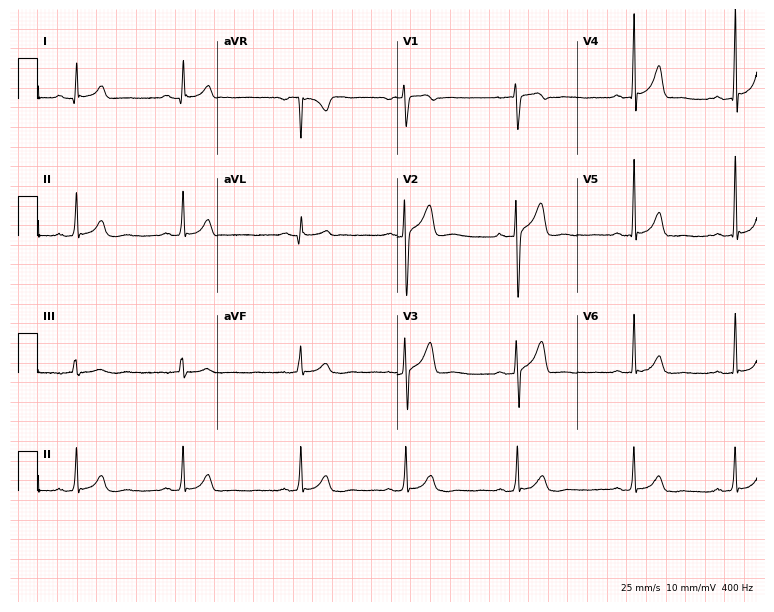
Standard 12-lead ECG recorded from a man, 38 years old. Read as a normal ECG.